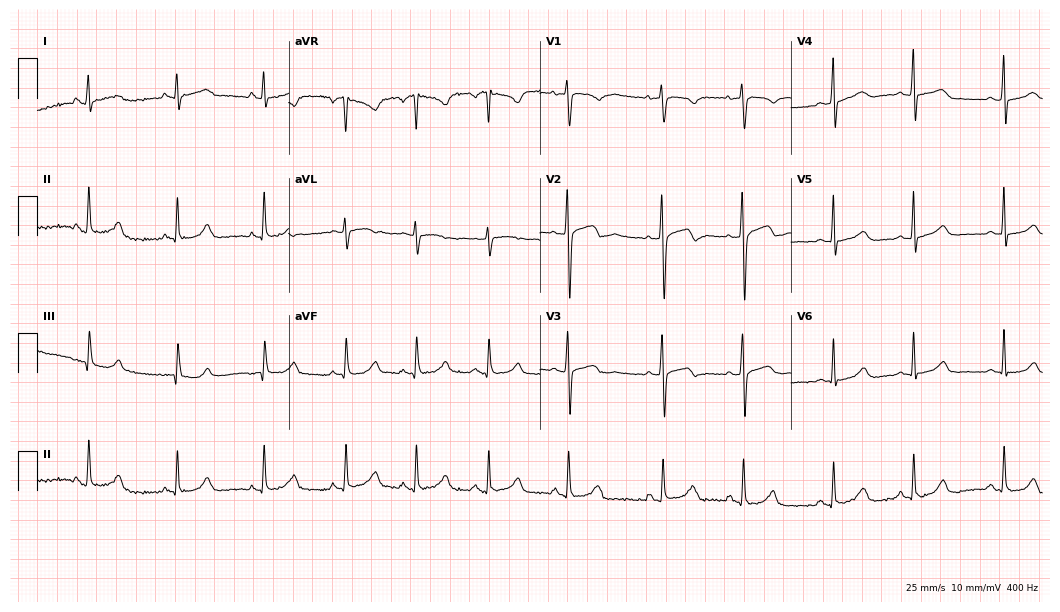
12-lead ECG from a 31-year-old female patient. Labelled as a normal ECG.